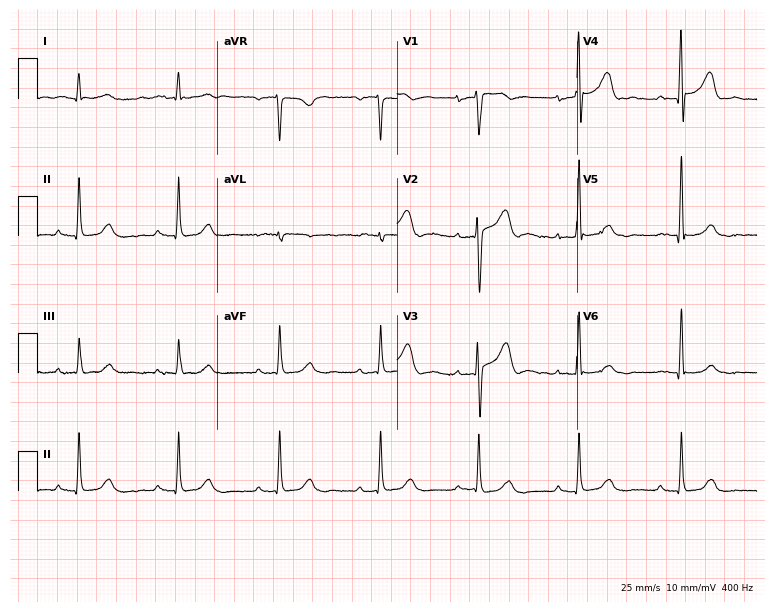
Resting 12-lead electrocardiogram (7.3-second recording at 400 Hz). Patient: an 85-year-old male. None of these six findings is recorded: first-degree AV block, right bundle branch block, left bundle branch block, sinus bradycardia, atrial fibrillation, sinus tachycardia. Only these six findings were labelled.